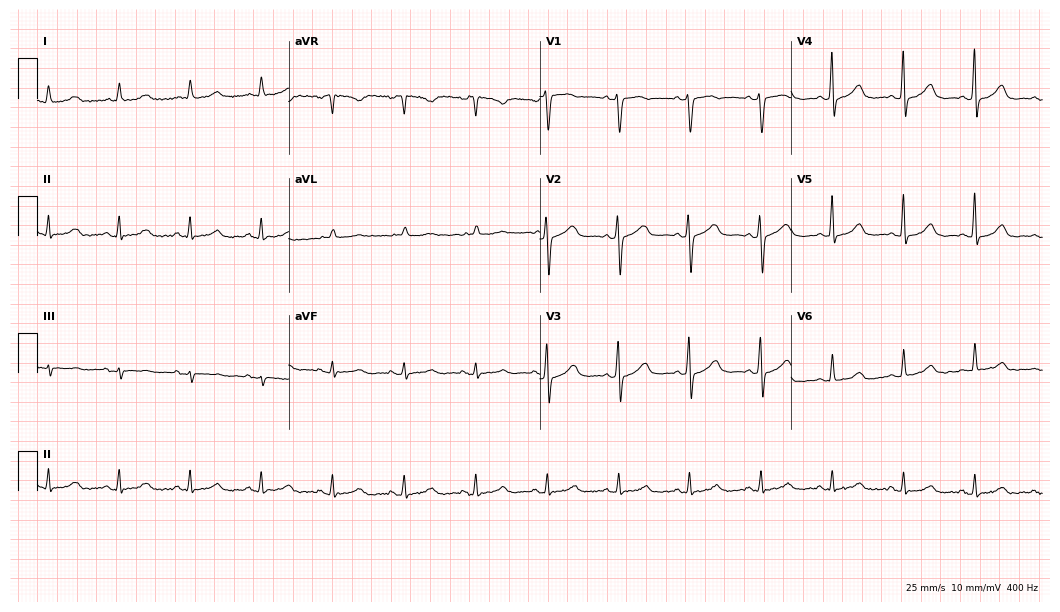
Resting 12-lead electrocardiogram (10.2-second recording at 400 Hz). Patient: a female, 64 years old. Read as a normal ECG.